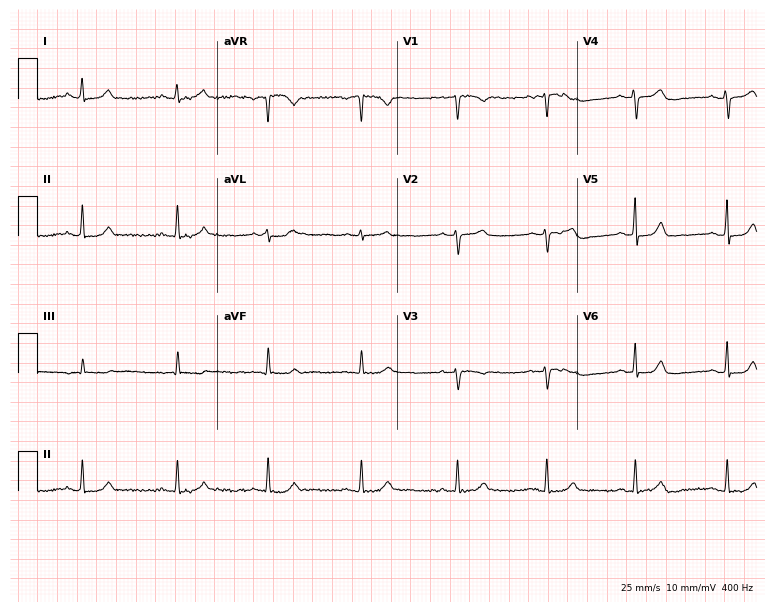
Electrocardiogram, a 44-year-old female patient. Overall reading on record: normal ECG.